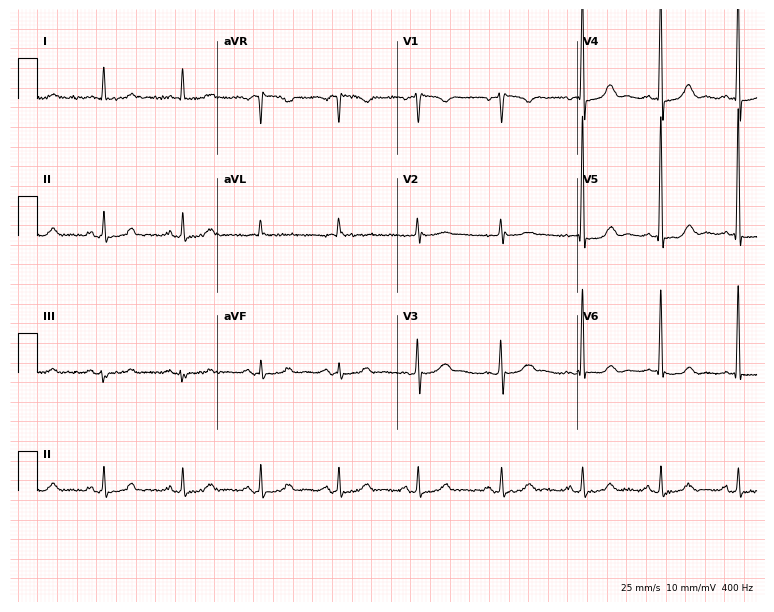
12-lead ECG from a woman, 59 years old. Labelled as a normal ECG.